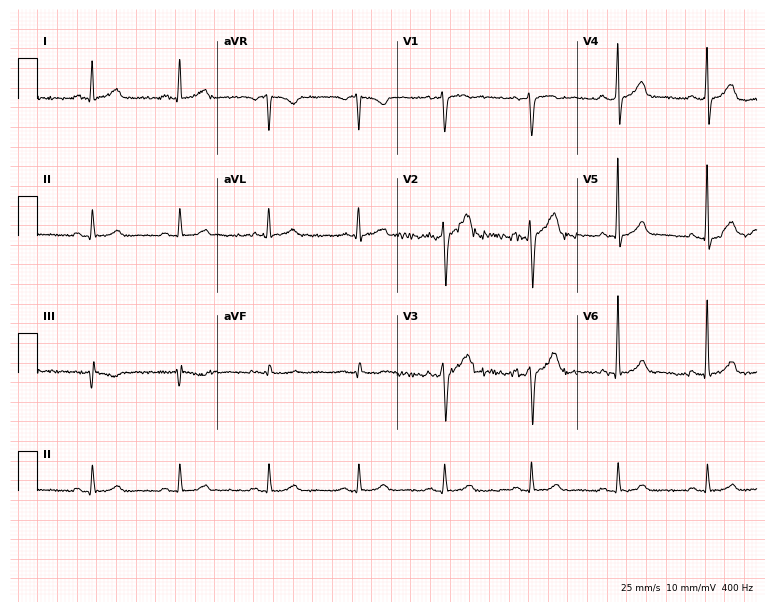
Resting 12-lead electrocardiogram. Patient: a man, 59 years old. Read as a normal ECG.